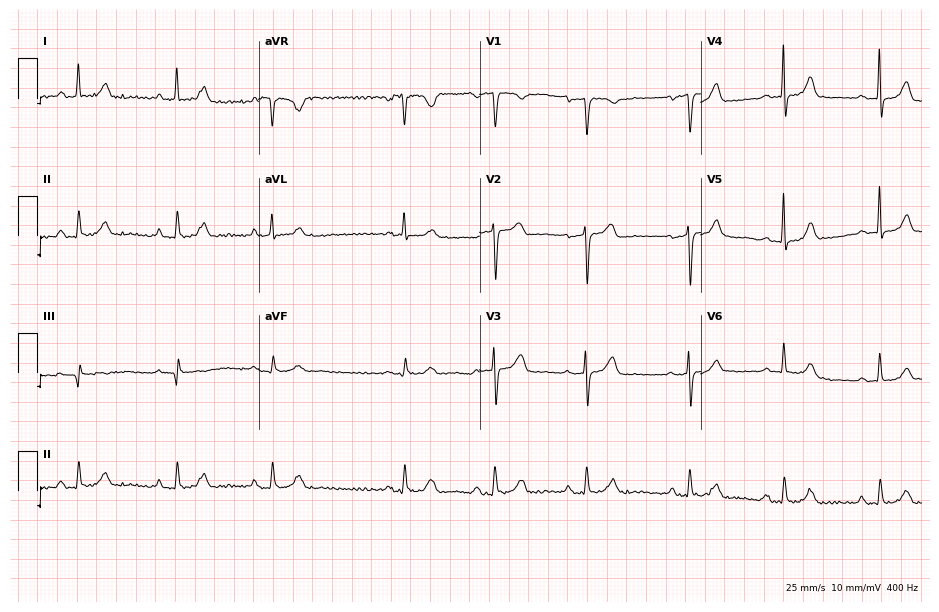
Resting 12-lead electrocardiogram. Patient: a female, 73 years old. Read as a normal ECG.